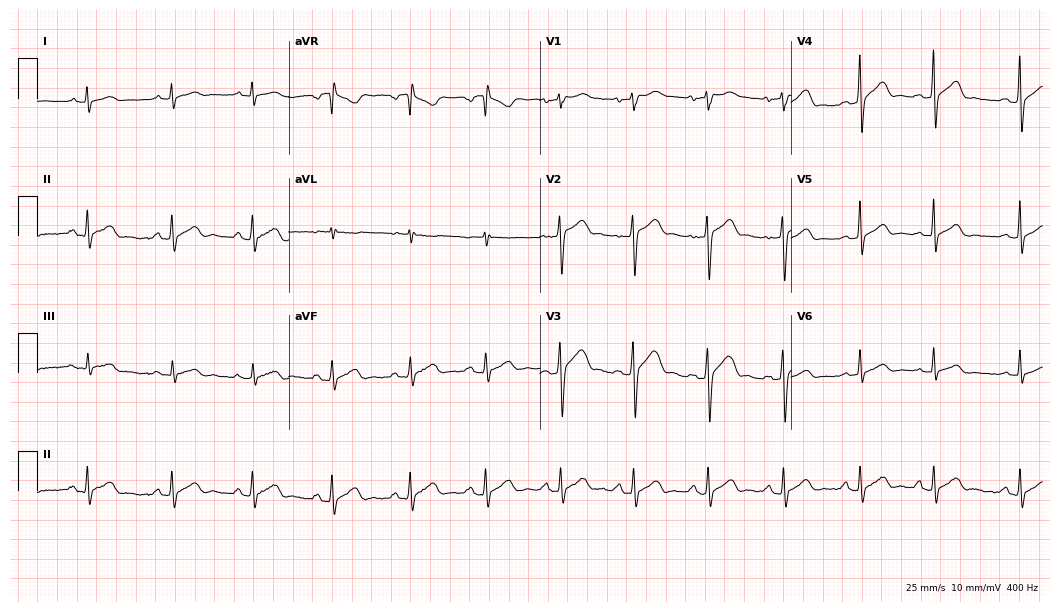
Electrocardiogram (10.2-second recording at 400 Hz), a 33-year-old female patient. Overall reading on record: normal ECG.